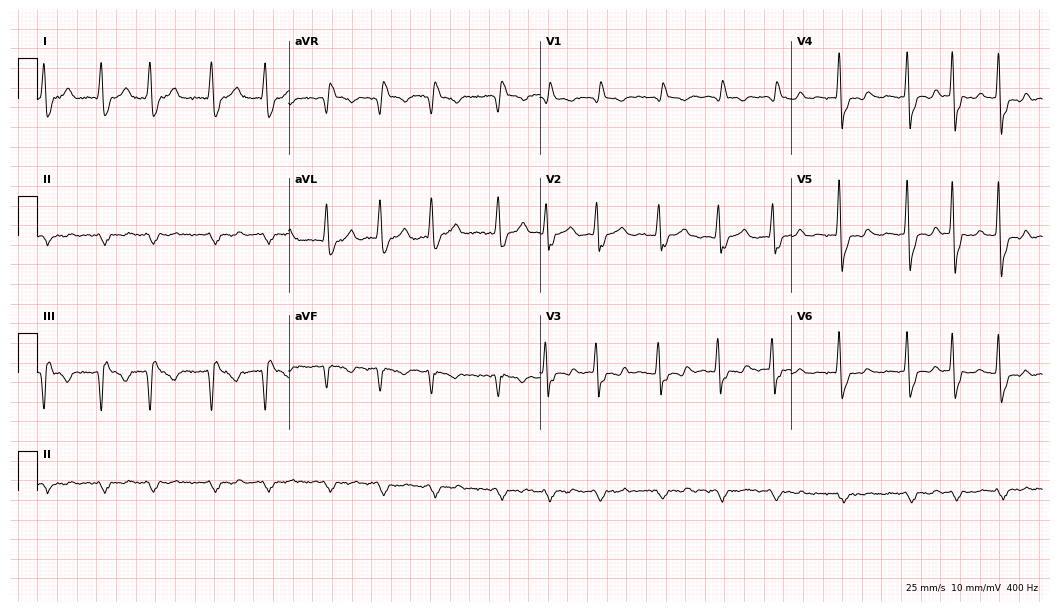
Standard 12-lead ECG recorded from a 73-year-old man (10.2-second recording at 400 Hz). The tracing shows right bundle branch block, atrial fibrillation.